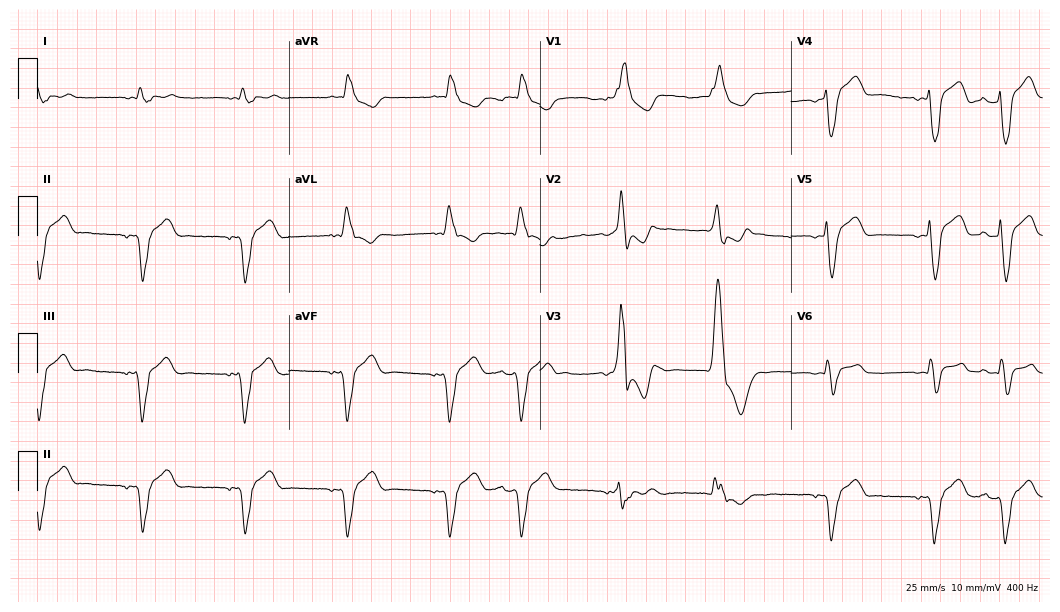
ECG (10.2-second recording at 400 Hz) — a 76-year-old man. Screened for six findings — first-degree AV block, right bundle branch block, left bundle branch block, sinus bradycardia, atrial fibrillation, sinus tachycardia — none is recorded.